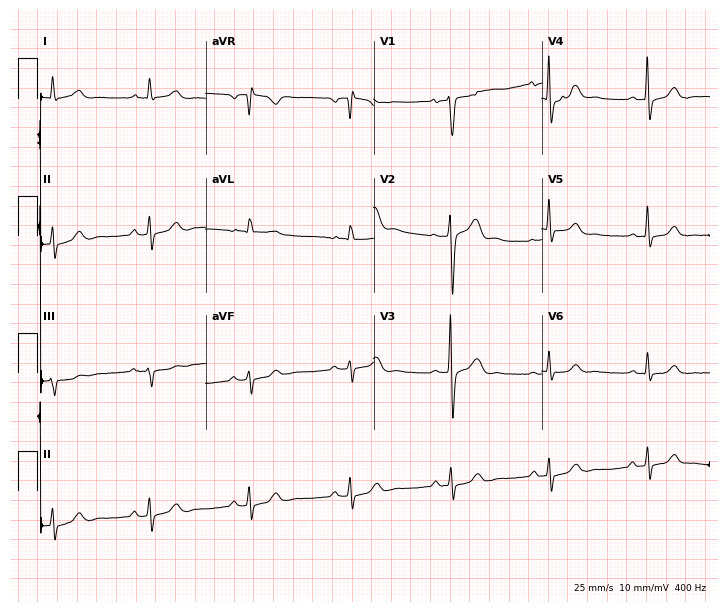
12-lead ECG from a 59-year-old male (6.9-second recording at 400 Hz). No first-degree AV block, right bundle branch block, left bundle branch block, sinus bradycardia, atrial fibrillation or sinus tachycardia recorded for this tracing.